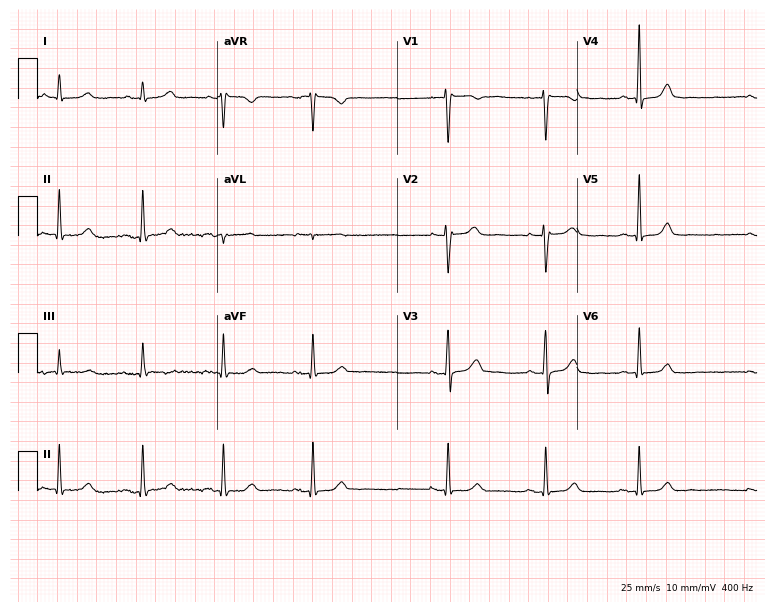
12-lead ECG (7.3-second recording at 400 Hz) from a female patient, 36 years old. Labelled as a normal ECG.